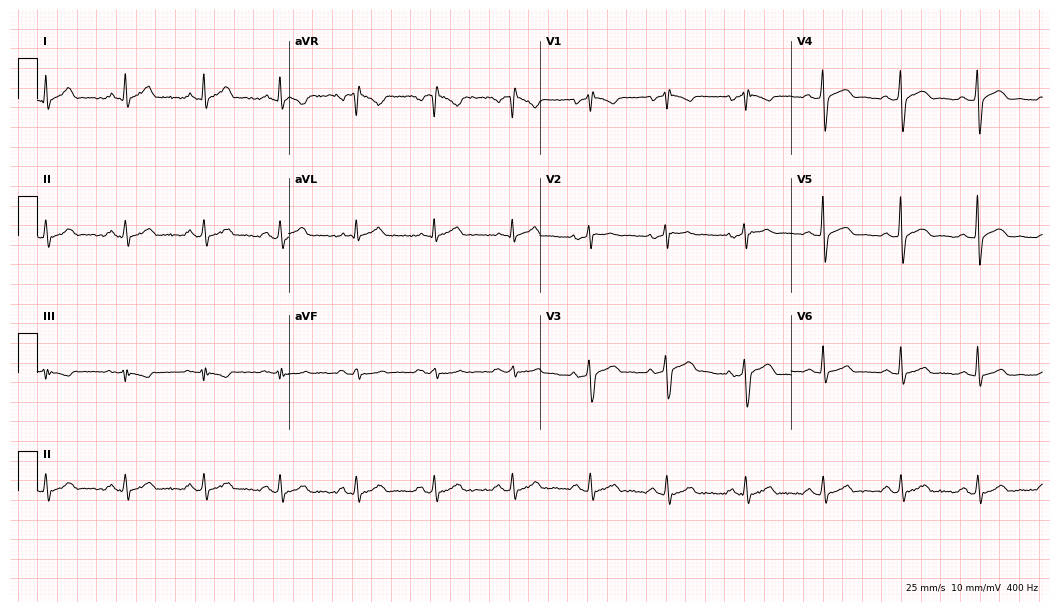
ECG — a male patient, 51 years old. Labelled as a normal ECG.